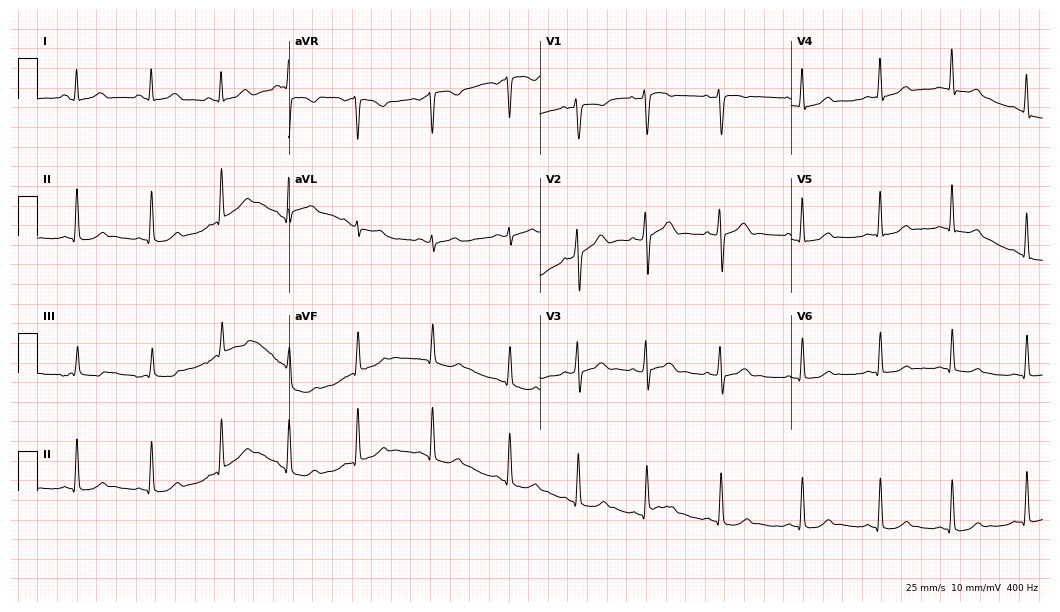
Resting 12-lead electrocardiogram (10.2-second recording at 400 Hz). Patient: a 22-year-old female. Read as a normal ECG.